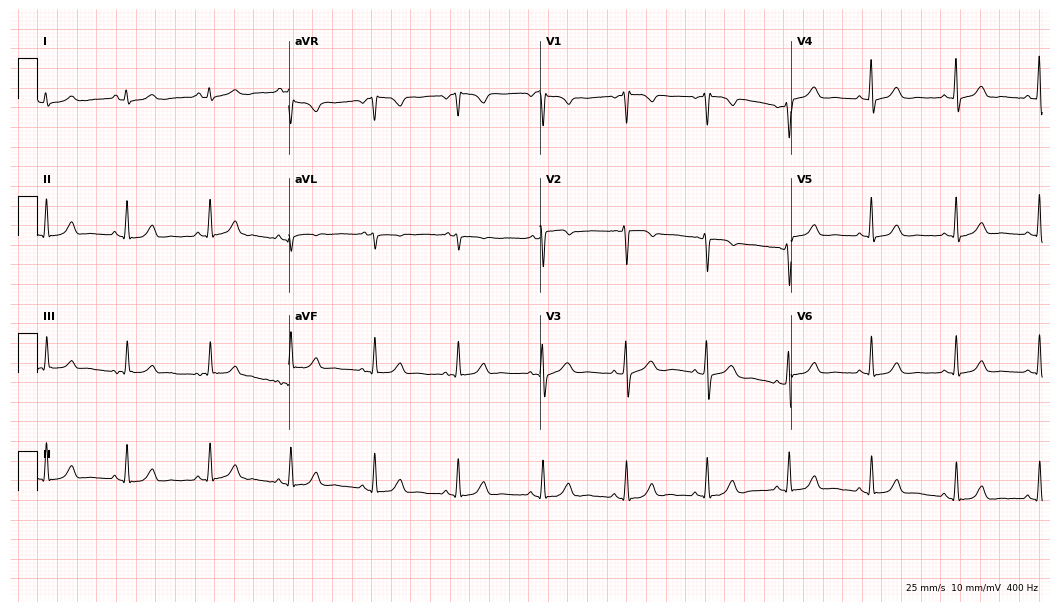
Electrocardiogram (10.2-second recording at 400 Hz), a woman, 50 years old. Overall reading on record: normal ECG.